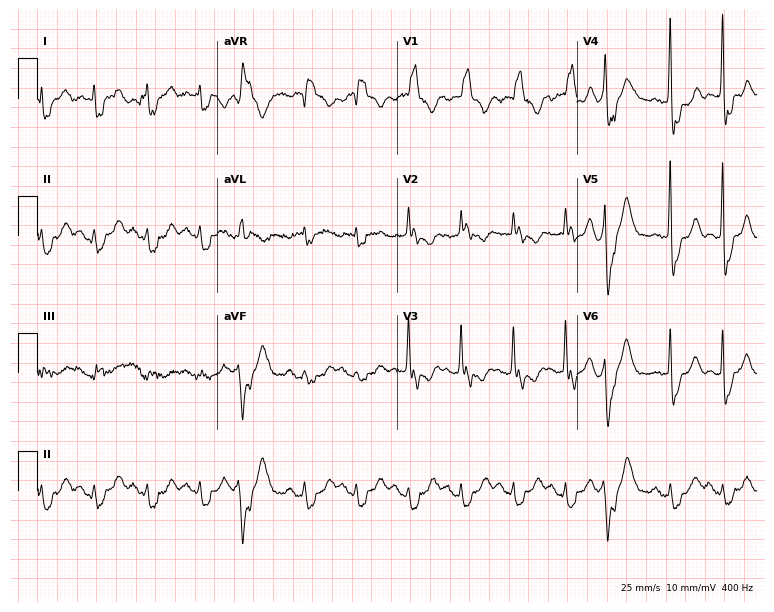
12-lead ECG from an 85-year-old female patient (7.3-second recording at 400 Hz). Shows right bundle branch block (RBBB).